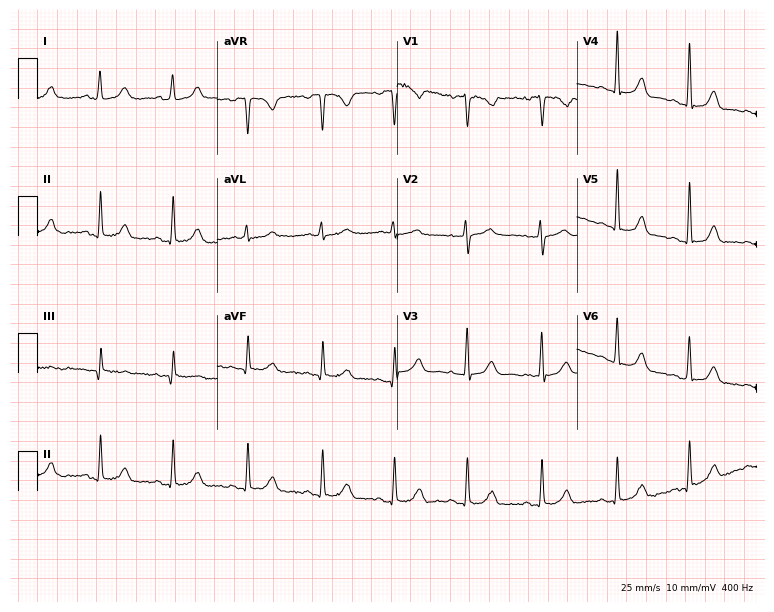
Standard 12-lead ECG recorded from a 32-year-old woman. None of these six findings is recorded: first-degree AV block, right bundle branch block (RBBB), left bundle branch block (LBBB), sinus bradycardia, atrial fibrillation (AF), sinus tachycardia. Only these six findings were labelled.